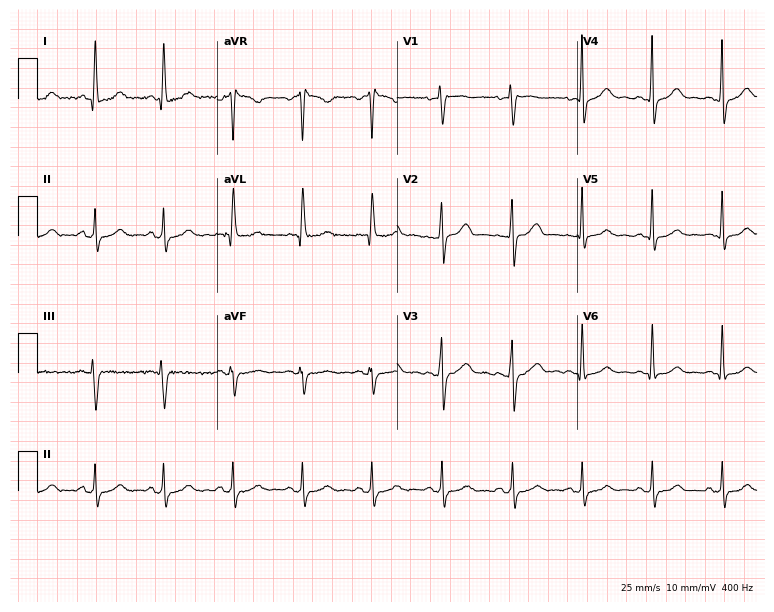
12-lead ECG (7.3-second recording at 400 Hz) from a 50-year-old female patient. Labelled as a normal ECG.